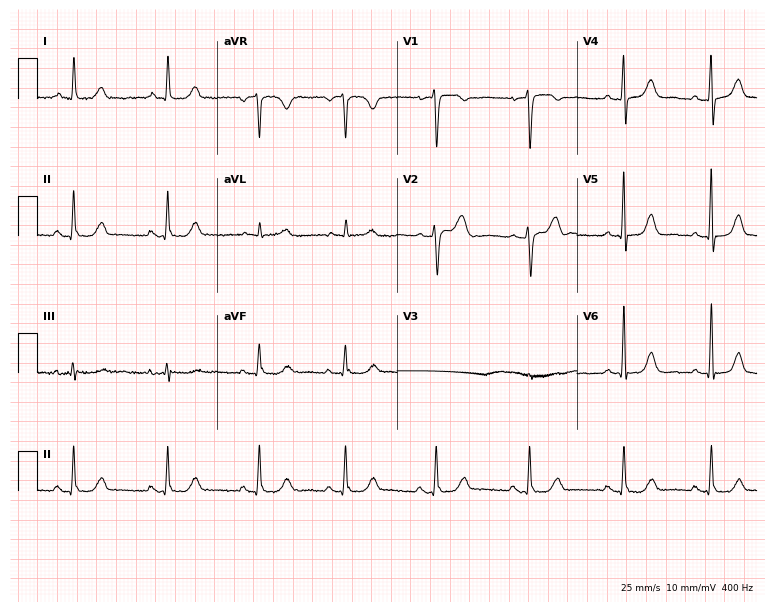
ECG — an 81-year-old woman. Labelled as a normal ECG.